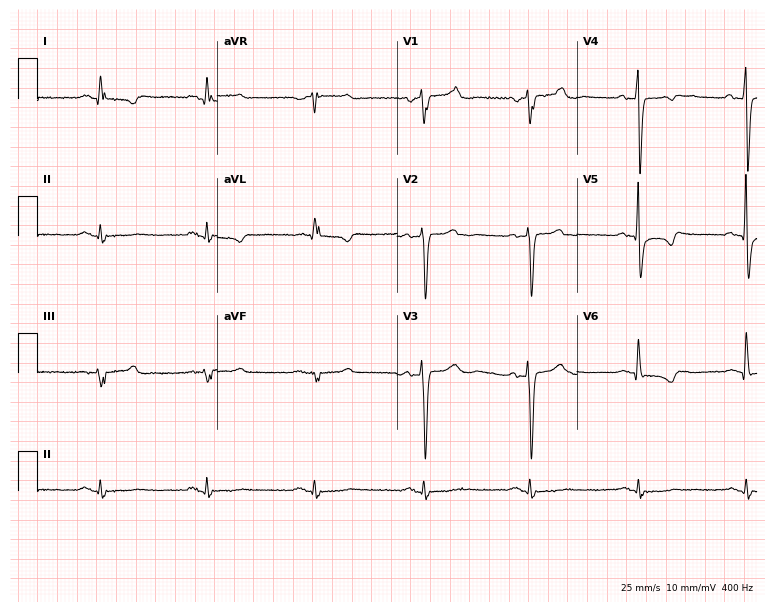
12-lead ECG from a 71-year-old male (7.3-second recording at 400 Hz). No first-degree AV block, right bundle branch block (RBBB), left bundle branch block (LBBB), sinus bradycardia, atrial fibrillation (AF) or sinus tachycardia recorded for this tracing.